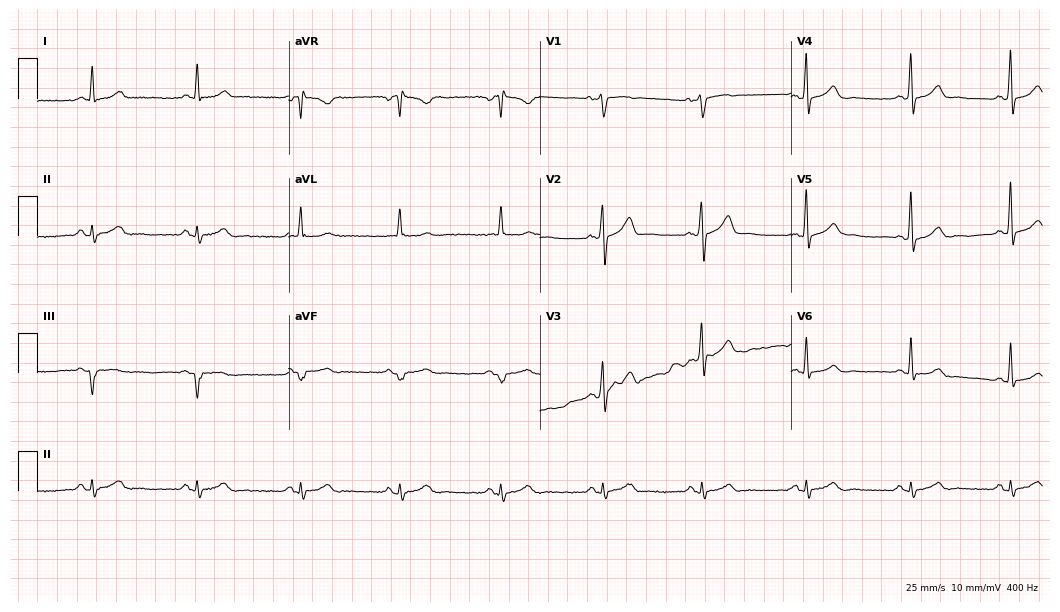
Resting 12-lead electrocardiogram. Patient: a male, 46 years old. Read as a normal ECG.